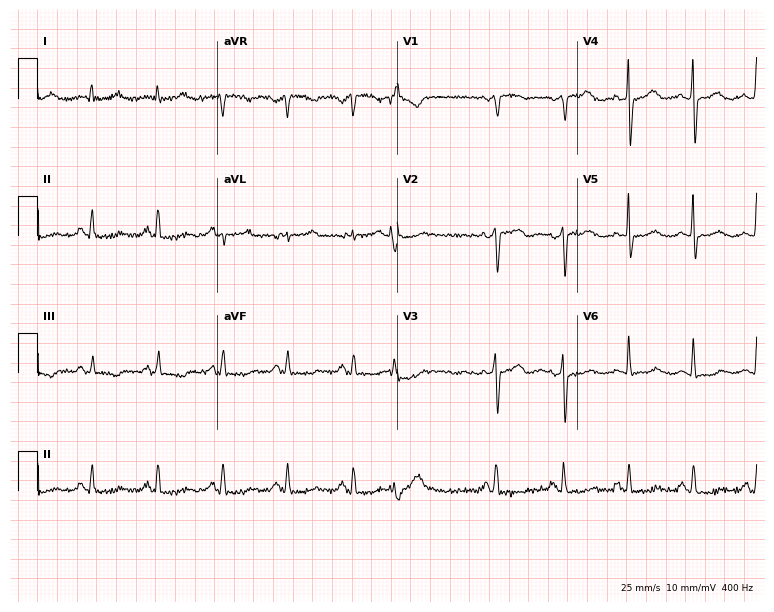
ECG (7.3-second recording at 400 Hz) — a female, 64 years old. Screened for six findings — first-degree AV block, right bundle branch block, left bundle branch block, sinus bradycardia, atrial fibrillation, sinus tachycardia — none is recorded. Other findings, if any, are not listed.